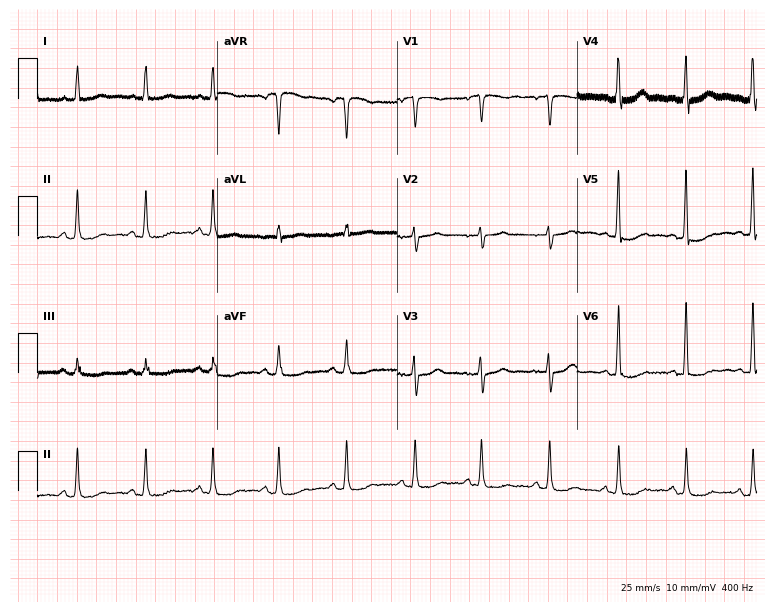
12-lead ECG from a 68-year-old female. No first-degree AV block, right bundle branch block, left bundle branch block, sinus bradycardia, atrial fibrillation or sinus tachycardia recorded for this tracing. Only these six findings were labelled.